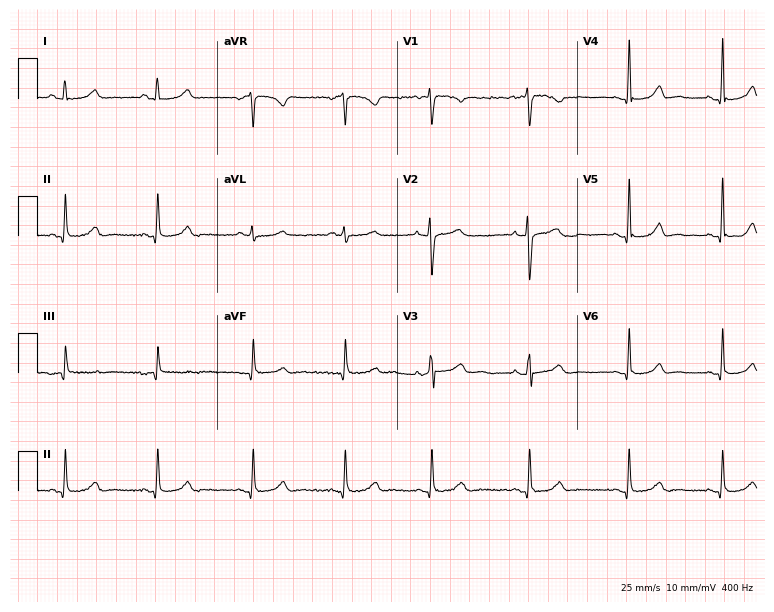
Resting 12-lead electrocardiogram (7.3-second recording at 400 Hz). Patient: a female, 36 years old. Read as a normal ECG.